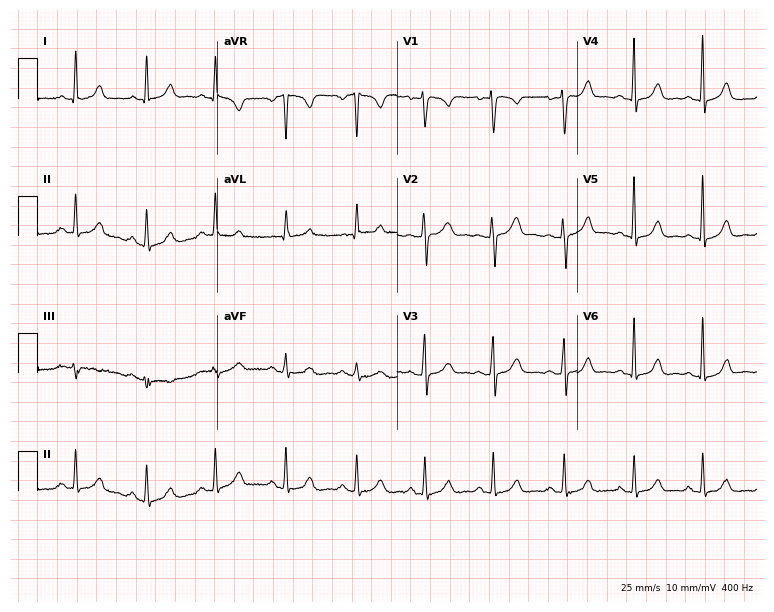
Resting 12-lead electrocardiogram. Patient: a 32-year-old female. None of these six findings is recorded: first-degree AV block, right bundle branch block, left bundle branch block, sinus bradycardia, atrial fibrillation, sinus tachycardia. Only these six findings were labelled.